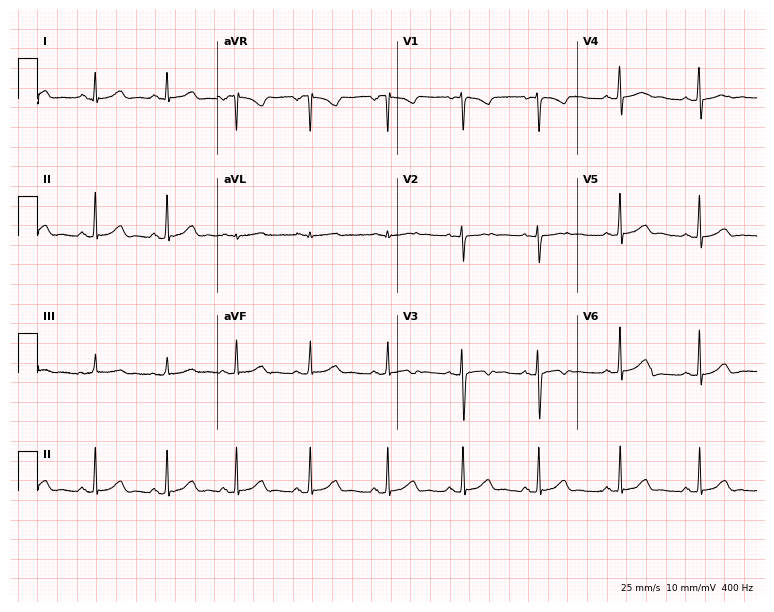
Electrocardiogram (7.3-second recording at 400 Hz), a 22-year-old woman. Overall reading on record: normal ECG.